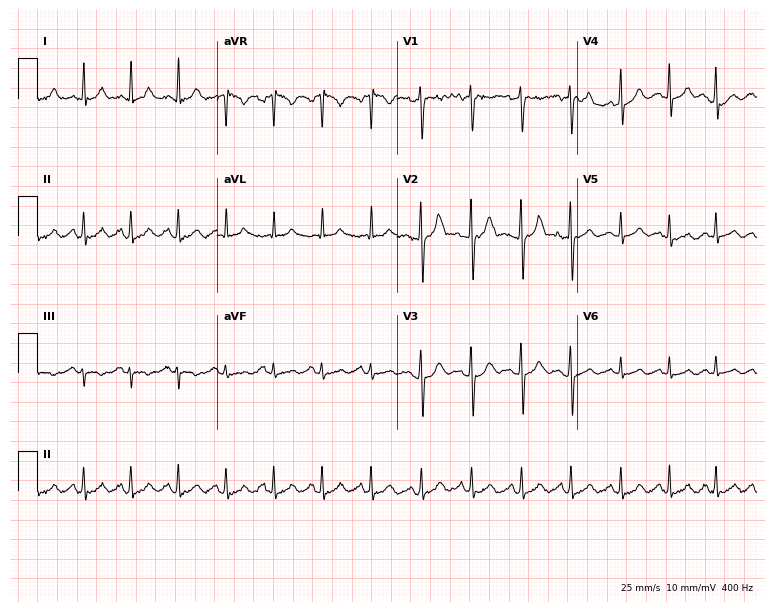
Electrocardiogram (7.3-second recording at 400 Hz), a 27-year-old woman. Interpretation includes sinus tachycardia (a sinus rate of 100 beats per minute or more).